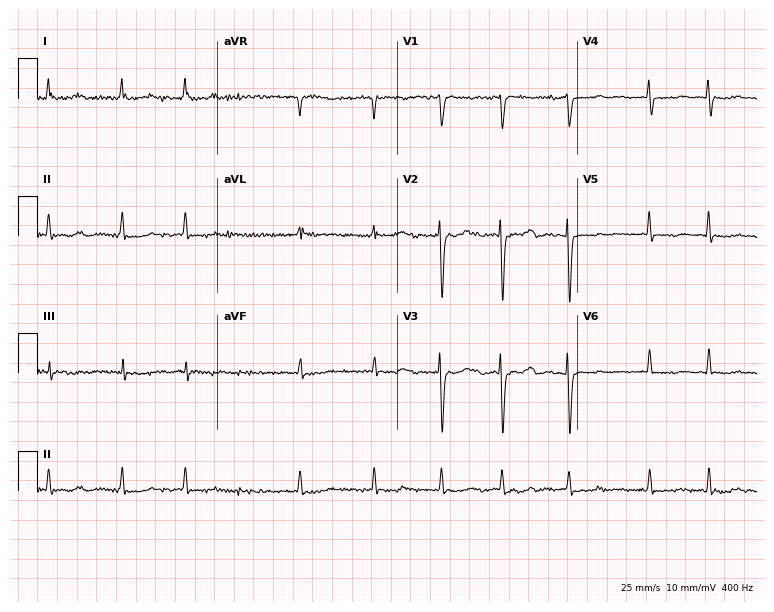
Resting 12-lead electrocardiogram. Patient: a 63-year-old woman. The tracing shows atrial fibrillation.